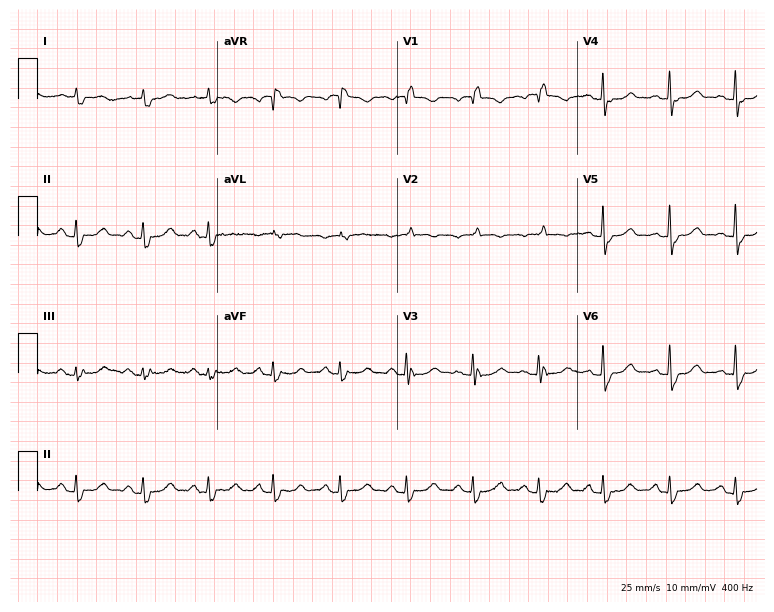
Standard 12-lead ECG recorded from a female patient, 81 years old. The tracing shows right bundle branch block.